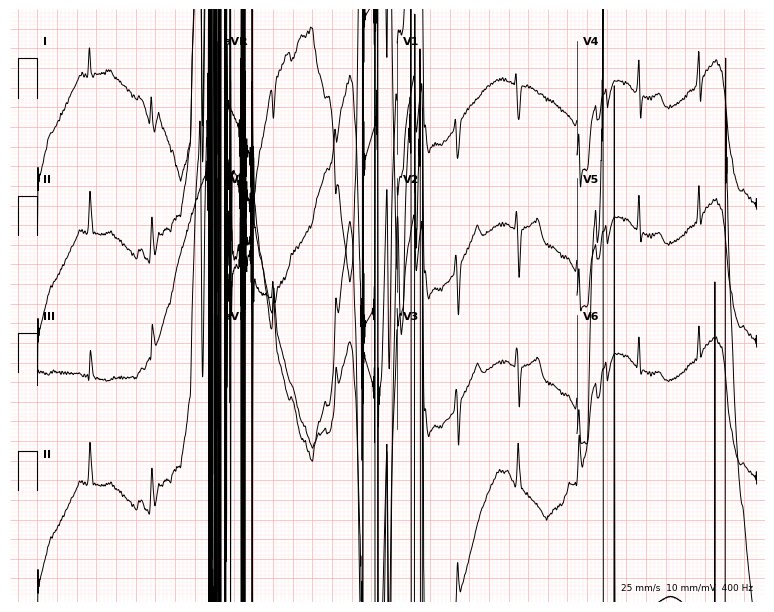
12-lead ECG from a female, 27 years old. Screened for six findings — first-degree AV block, right bundle branch block, left bundle branch block, sinus bradycardia, atrial fibrillation, sinus tachycardia — none is recorded. Other findings, if any, are not listed.